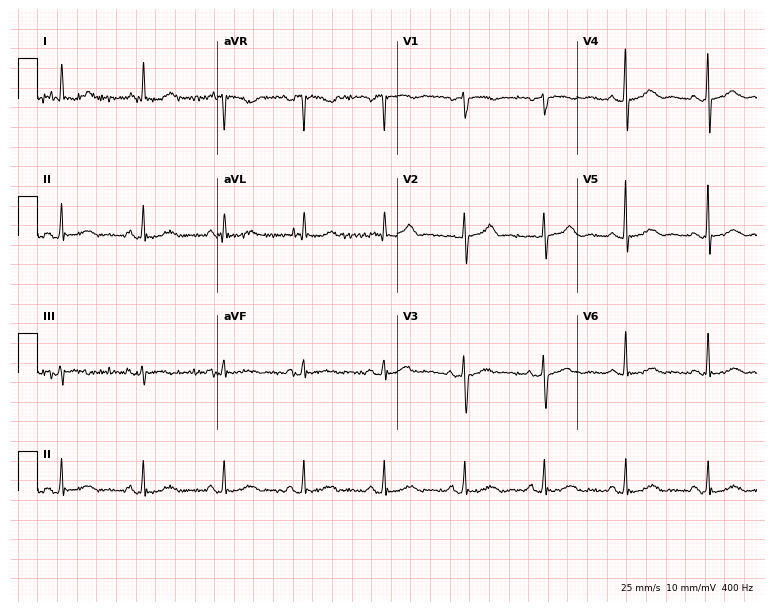
Standard 12-lead ECG recorded from a woman, 62 years old (7.3-second recording at 400 Hz). Read as a normal ECG.